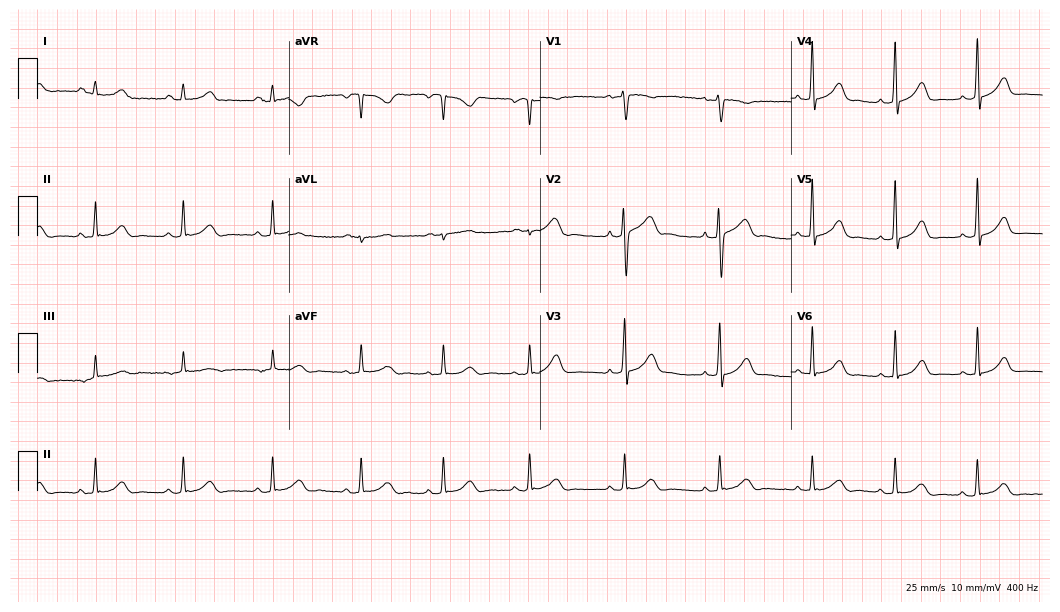
12-lead ECG (10.2-second recording at 400 Hz) from a 29-year-old woman. Labelled as a normal ECG.